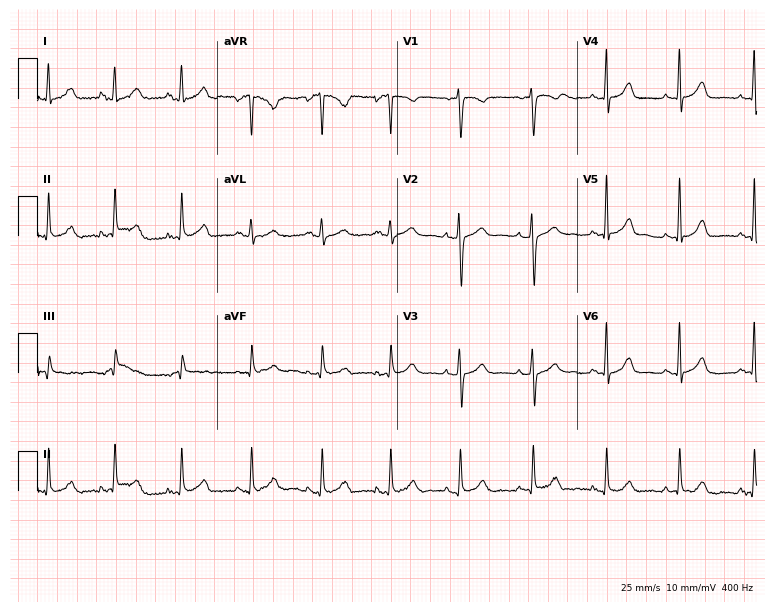
Standard 12-lead ECG recorded from a female patient, 27 years old (7.3-second recording at 400 Hz). Read as a normal ECG.